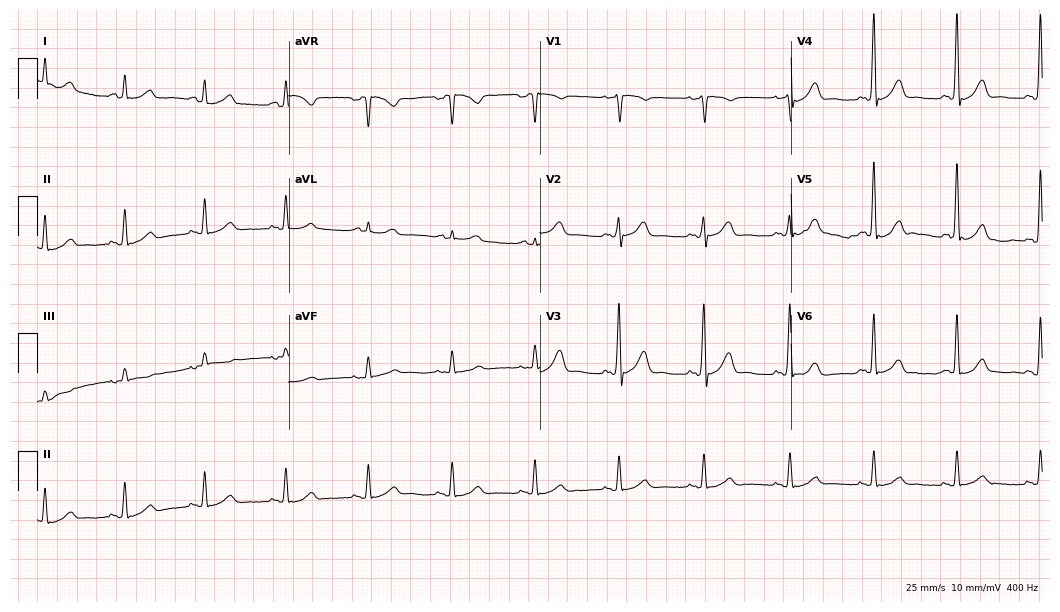
Electrocardiogram (10.2-second recording at 400 Hz), a male patient, 45 years old. Overall reading on record: normal ECG.